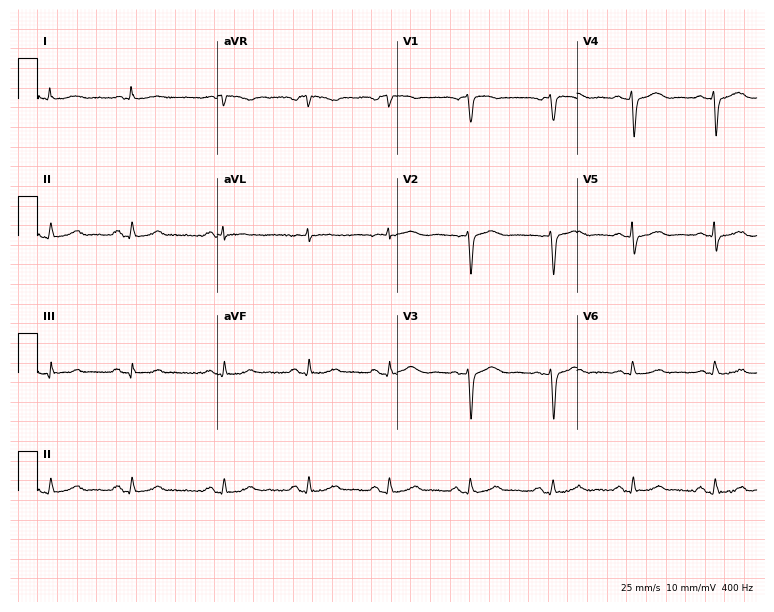
Resting 12-lead electrocardiogram. Patient: a 56-year-old female. Read as a normal ECG.